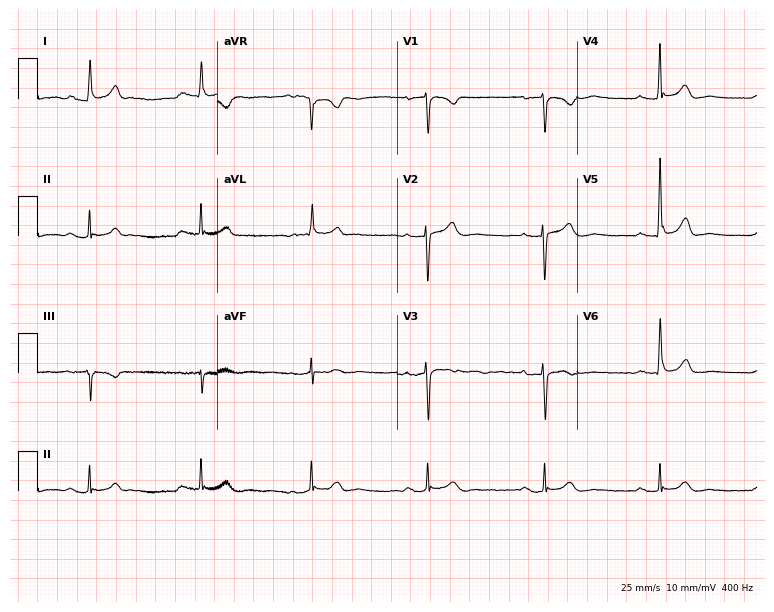
Resting 12-lead electrocardiogram. Patient: a female, 61 years old. Read as a normal ECG.